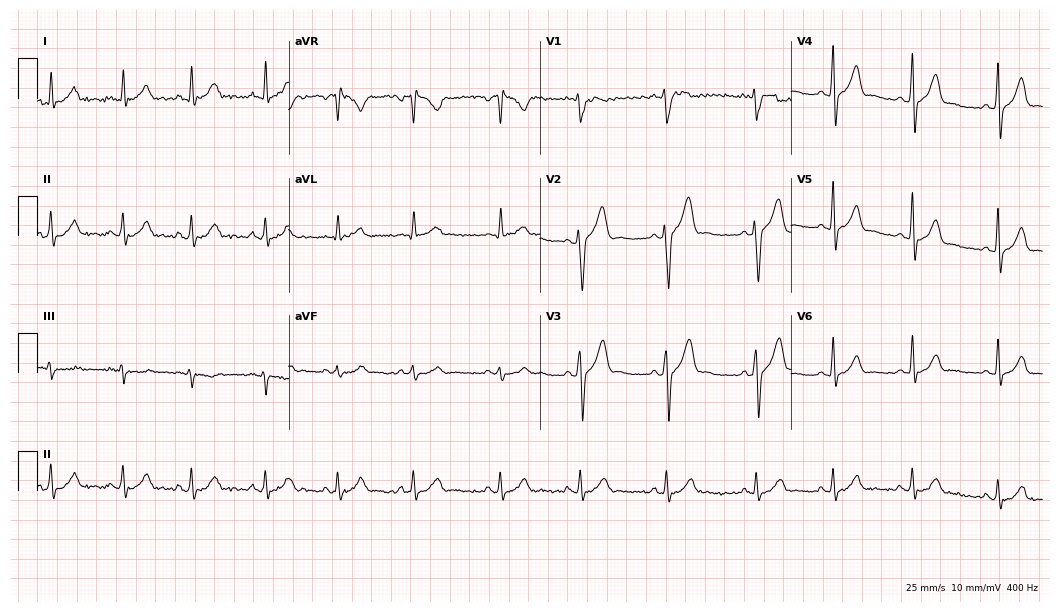
ECG (10.2-second recording at 400 Hz) — a male patient, 28 years old. Labelled as a normal ECG.